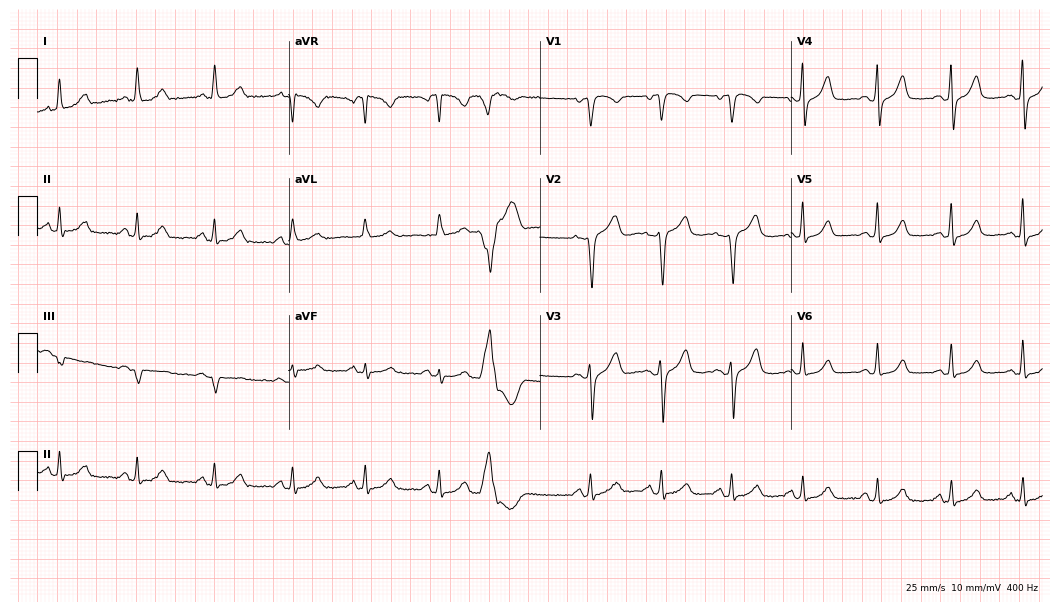
ECG — a 51-year-old female patient. Labelled as a normal ECG.